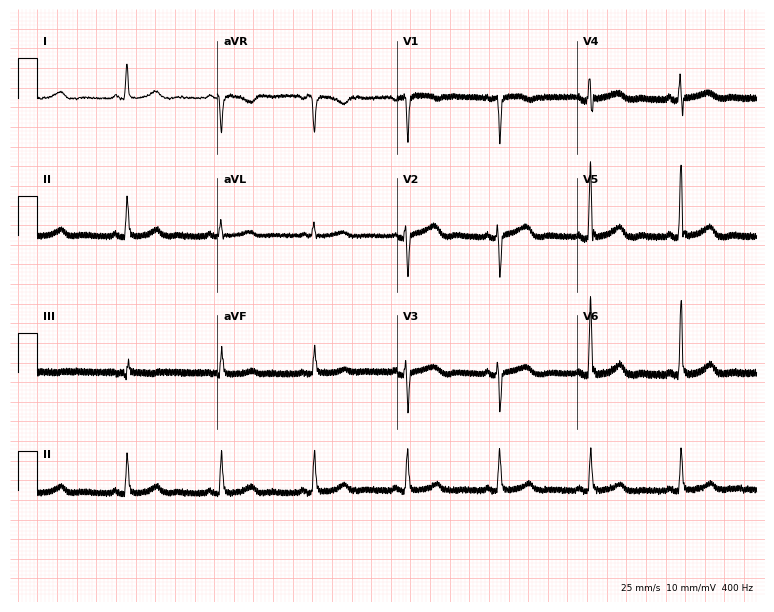
Standard 12-lead ECG recorded from a man, 69 years old (7.3-second recording at 400 Hz). Read as a normal ECG.